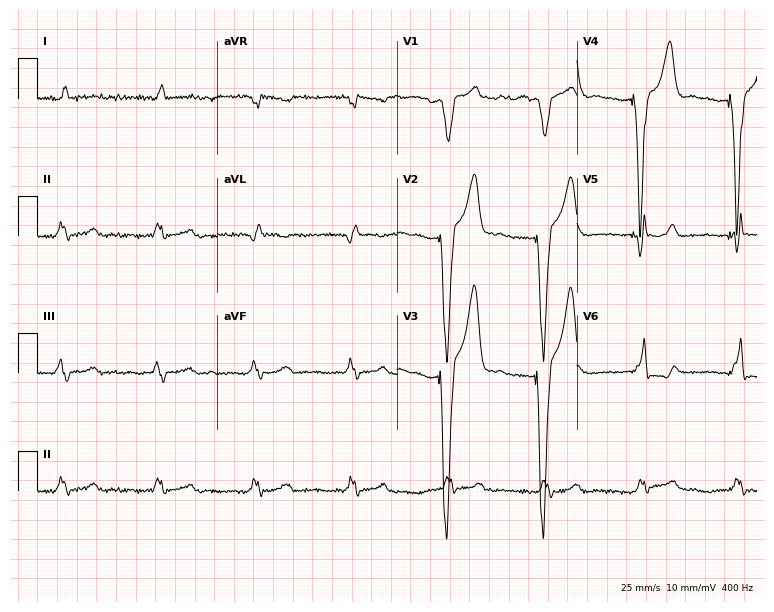
Standard 12-lead ECG recorded from a male, 74 years old (7.3-second recording at 400 Hz). None of these six findings is recorded: first-degree AV block, right bundle branch block (RBBB), left bundle branch block (LBBB), sinus bradycardia, atrial fibrillation (AF), sinus tachycardia.